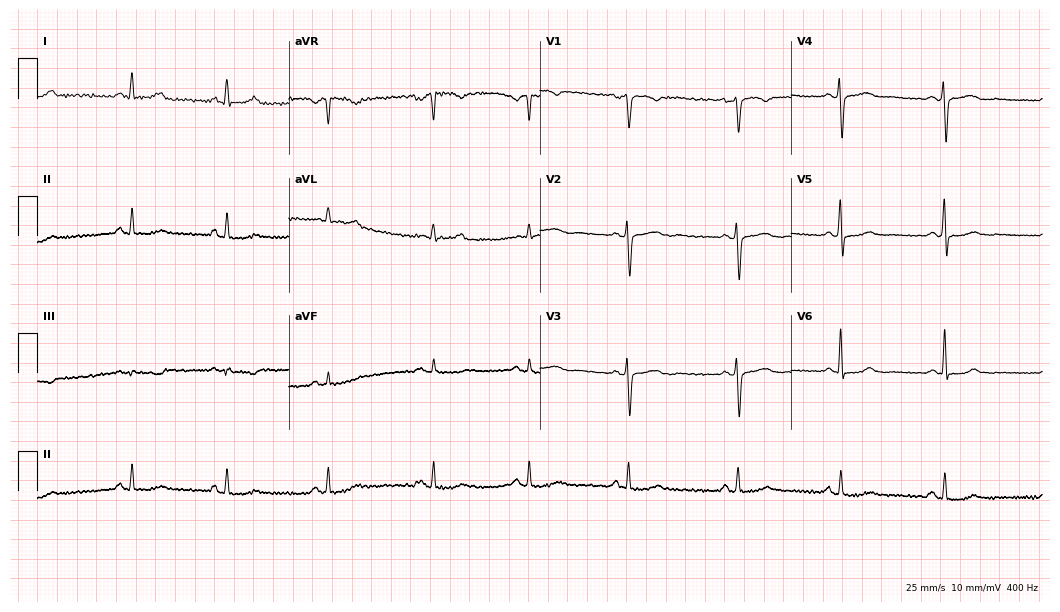
ECG (10.2-second recording at 400 Hz) — a 34-year-old female patient. Screened for six findings — first-degree AV block, right bundle branch block, left bundle branch block, sinus bradycardia, atrial fibrillation, sinus tachycardia — none is recorded.